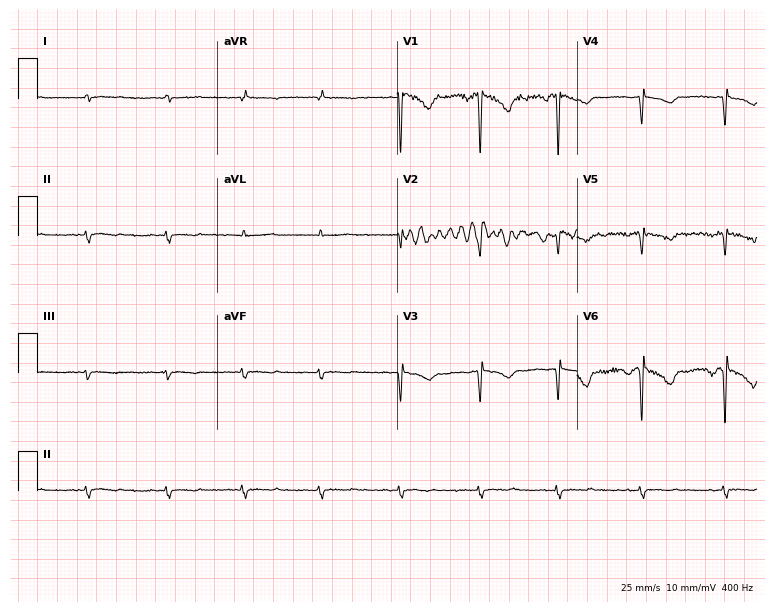
ECG (7.3-second recording at 400 Hz) — a female, 44 years old. Screened for six findings — first-degree AV block, right bundle branch block, left bundle branch block, sinus bradycardia, atrial fibrillation, sinus tachycardia — none is recorded. Only these six findings were labelled.